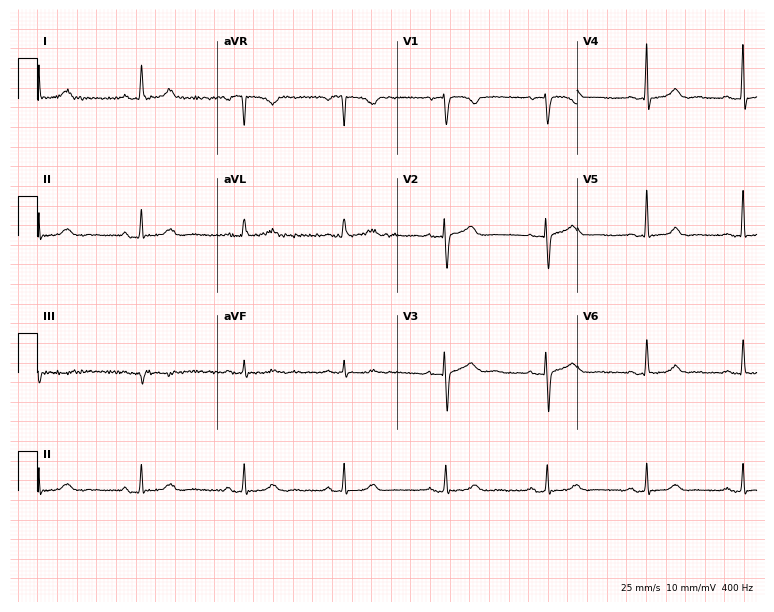
Resting 12-lead electrocardiogram. Patient: a female, 56 years old. Read as a normal ECG.